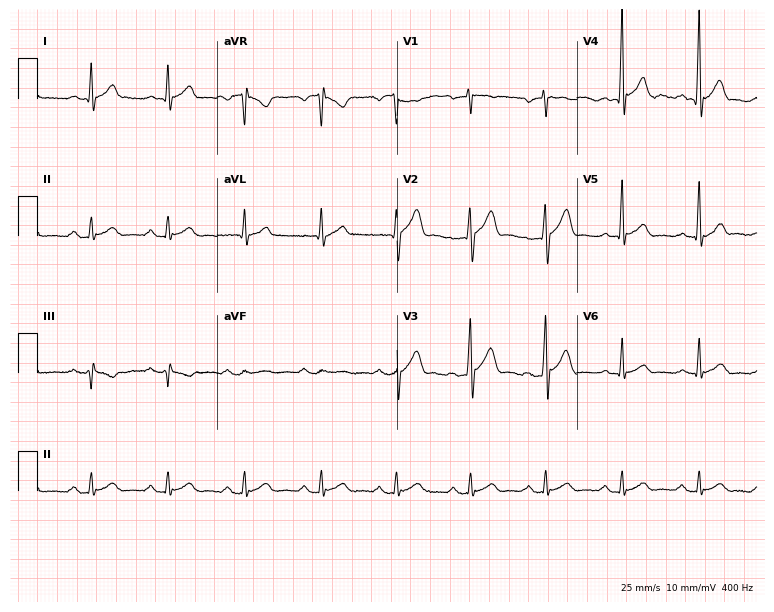
Standard 12-lead ECG recorded from a male patient, 45 years old. Read as a normal ECG.